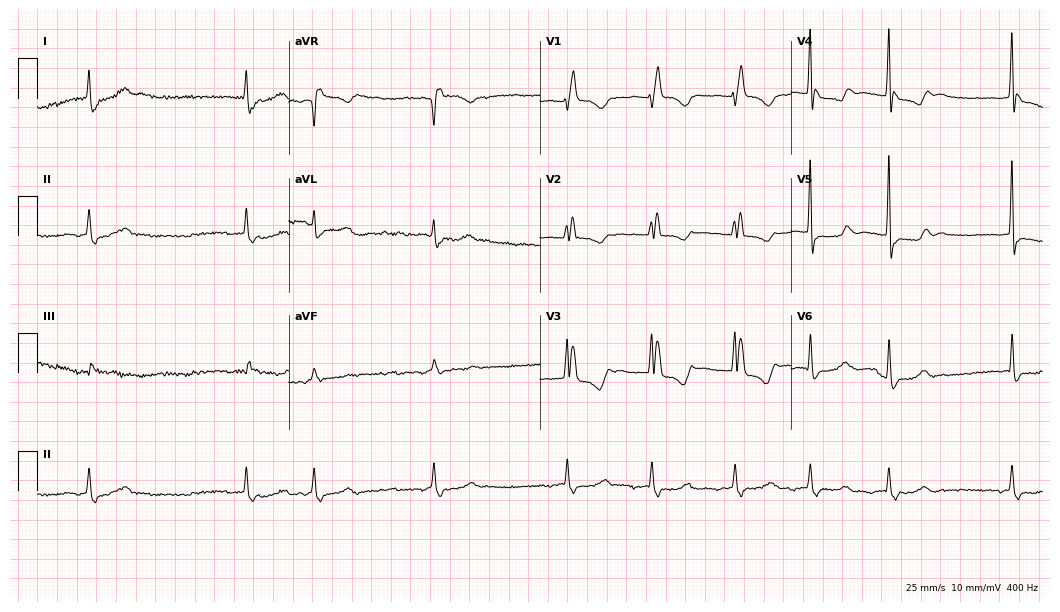
Electrocardiogram (10.2-second recording at 400 Hz), a 64-year-old woman. Interpretation includes right bundle branch block, atrial fibrillation.